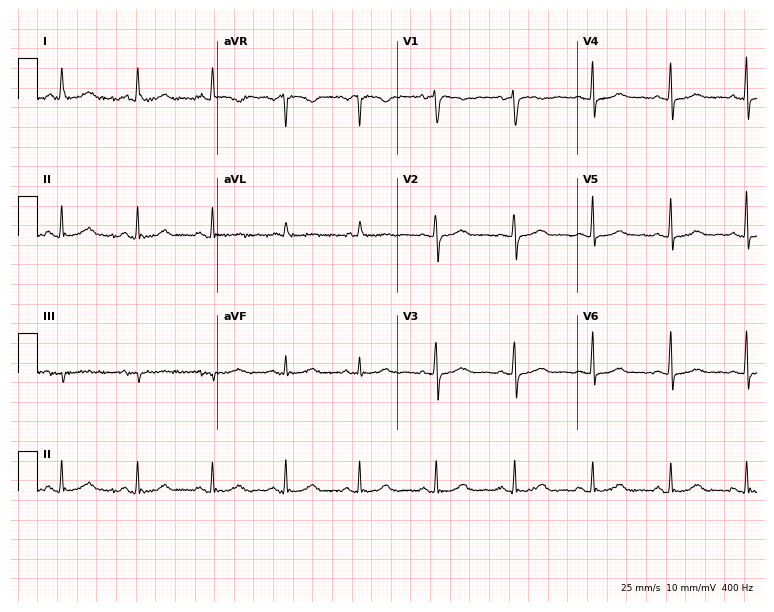
Resting 12-lead electrocardiogram (7.3-second recording at 400 Hz). Patient: a 52-year-old female. Read as a normal ECG.